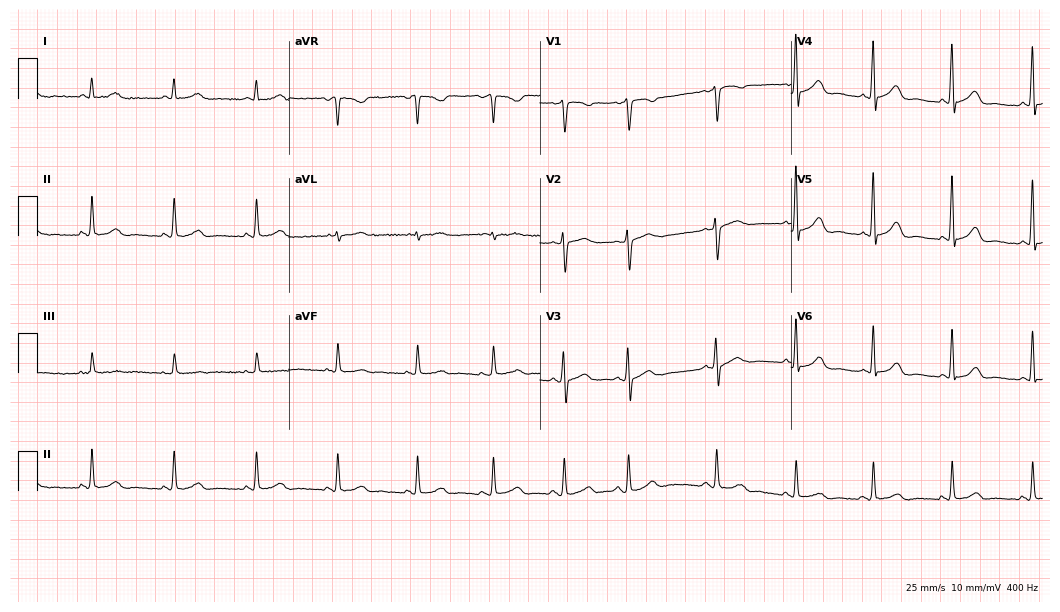
12-lead ECG (10.2-second recording at 400 Hz) from a 53-year-old female patient. Labelled as a normal ECG.